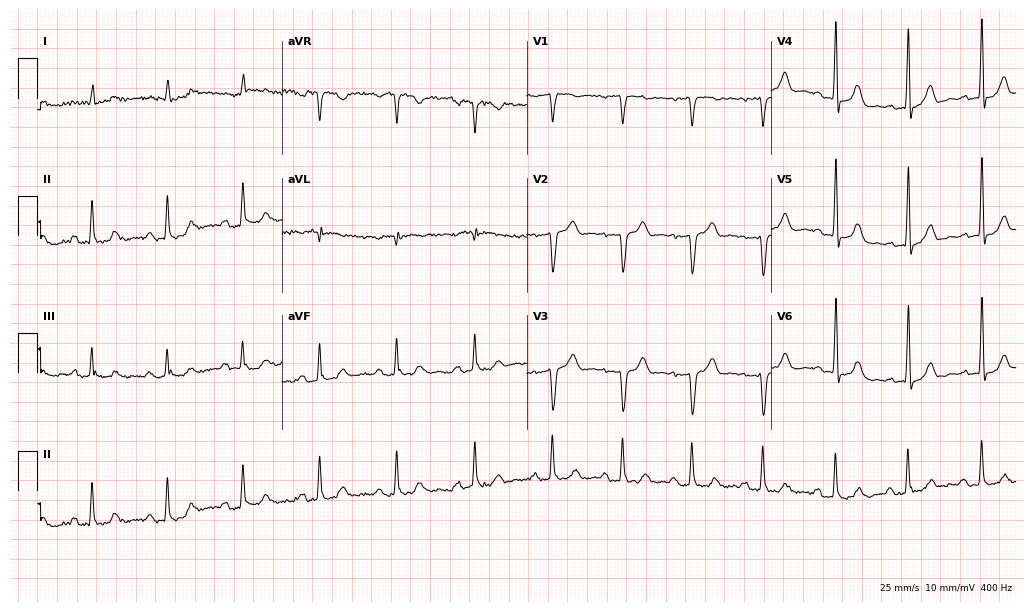
Standard 12-lead ECG recorded from an 81-year-old male (10-second recording at 400 Hz). None of these six findings is recorded: first-degree AV block, right bundle branch block (RBBB), left bundle branch block (LBBB), sinus bradycardia, atrial fibrillation (AF), sinus tachycardia. Other findings, if any, are not listed.